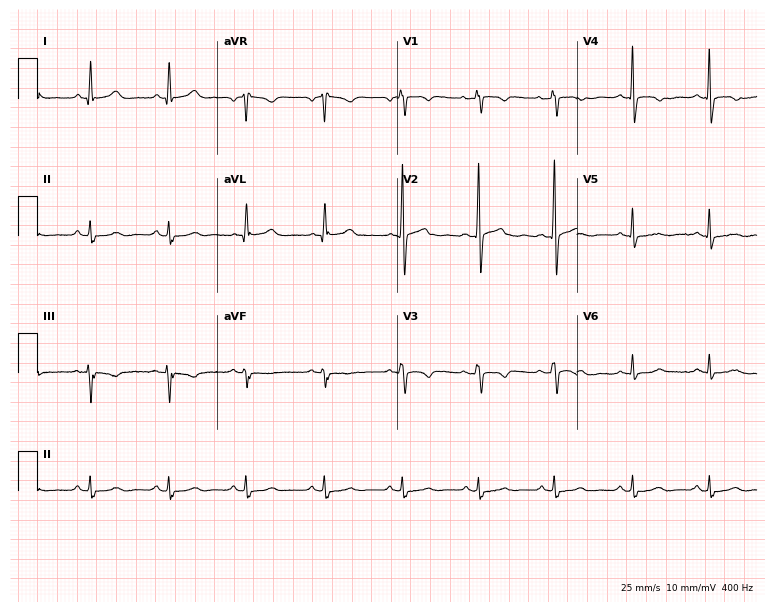
12-lead ECG from a 55-year-old female (7.3-second recording at 400 Hz). Recorded interpretation: within normal limits.